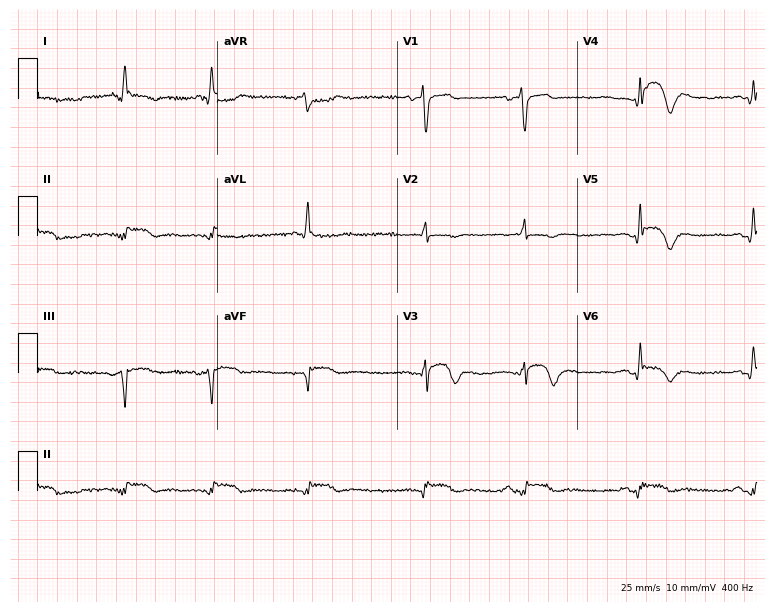
Resting 12-lead electrocardiogram. Patient: a 77-year-old male. None of these six findings is recorded: first-degree AV block, right bundle branch block (RBBB), left bundle branch block (LBBB), sinus bradycardia, atrial fibrillation (AF), sinus tachycardia. Other findings, if any, are not listed.